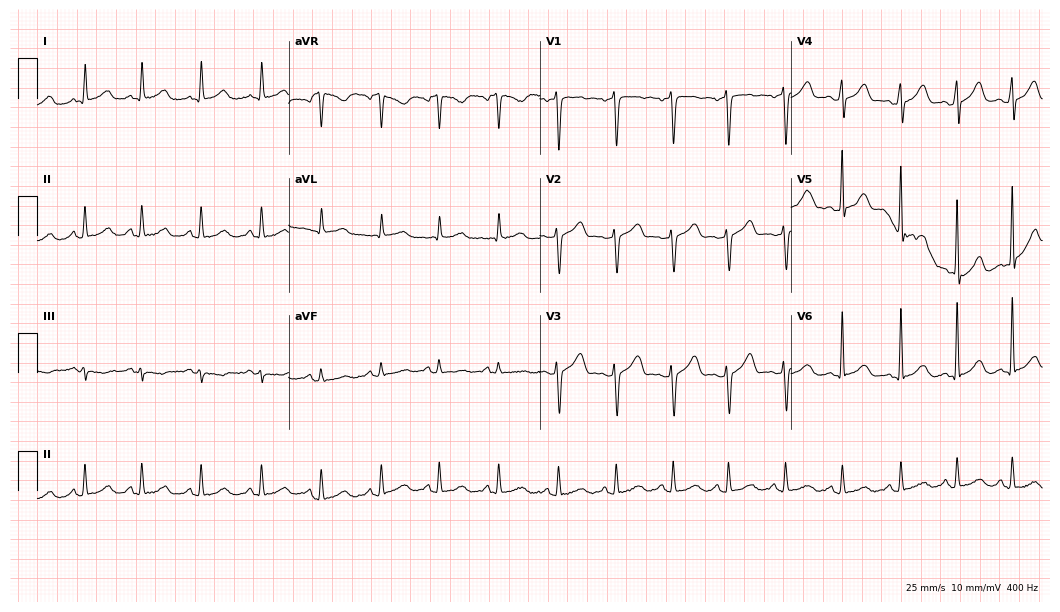
12-lead ECG from a 39-year-old female. Labelled as a normal ECG.